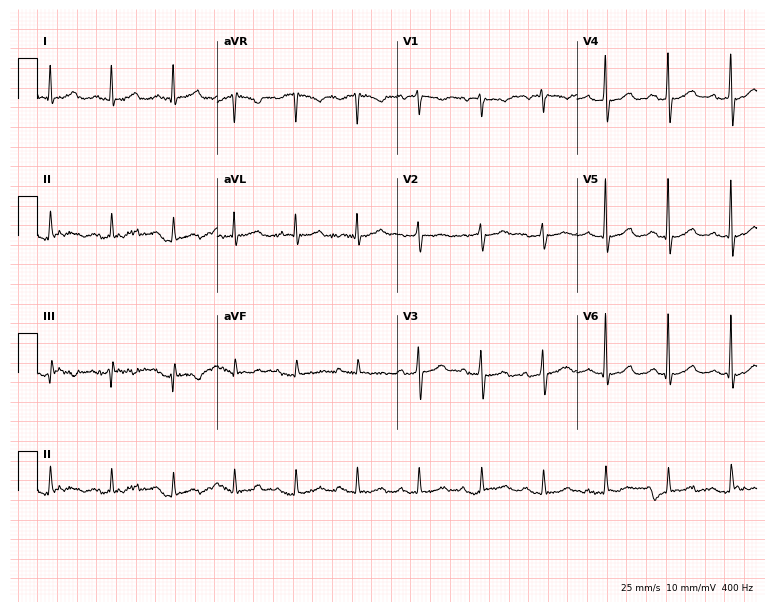
Resting 12-lead electrocardiogram. Patient: a male, 79 years old. Read as a normal ECG.